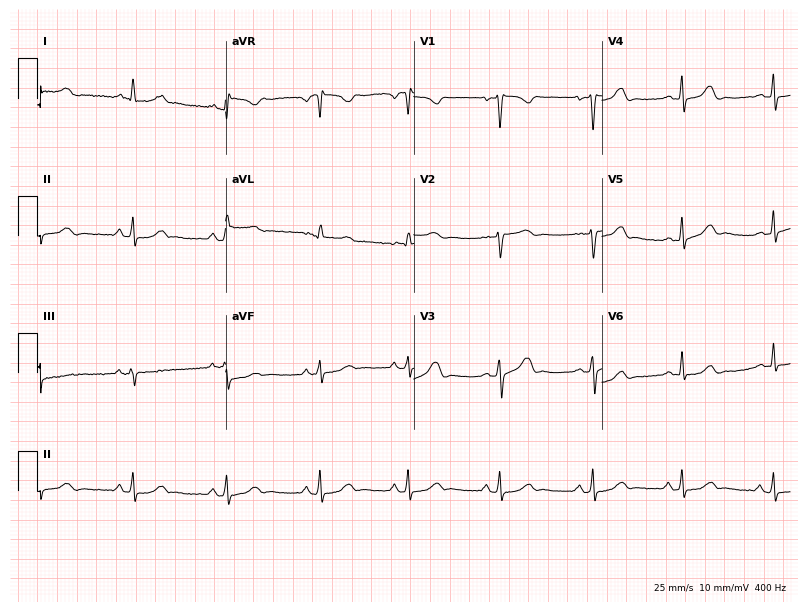
ECG (7.7-second recording at 400 Hz) — a female, 20 years old. Labelled as a normal ECG.